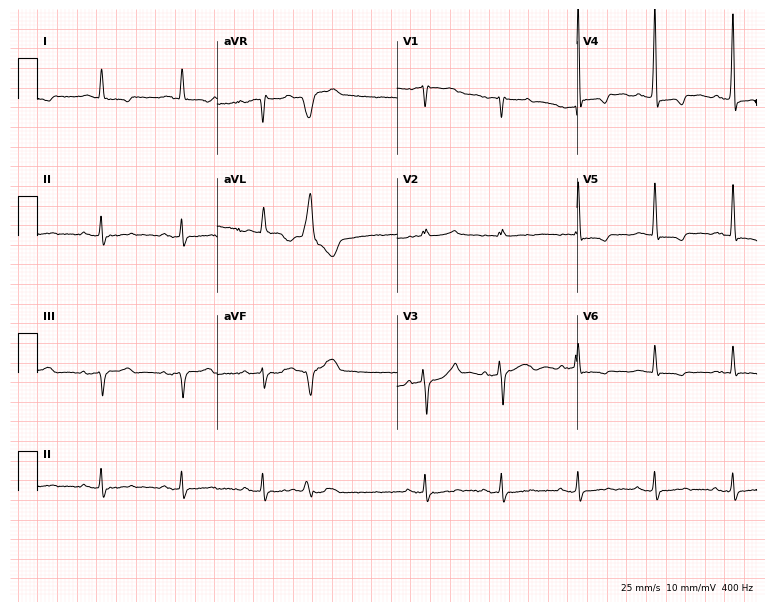
12-lead ECG from a 72-year-old male patient. No first-degree AV block, right bundle branch block, left bundle branch block, sinus bradycardia, atrial fibrillation or sinus tachycardia recorded for this tracing. Findings outside these six are not listed.